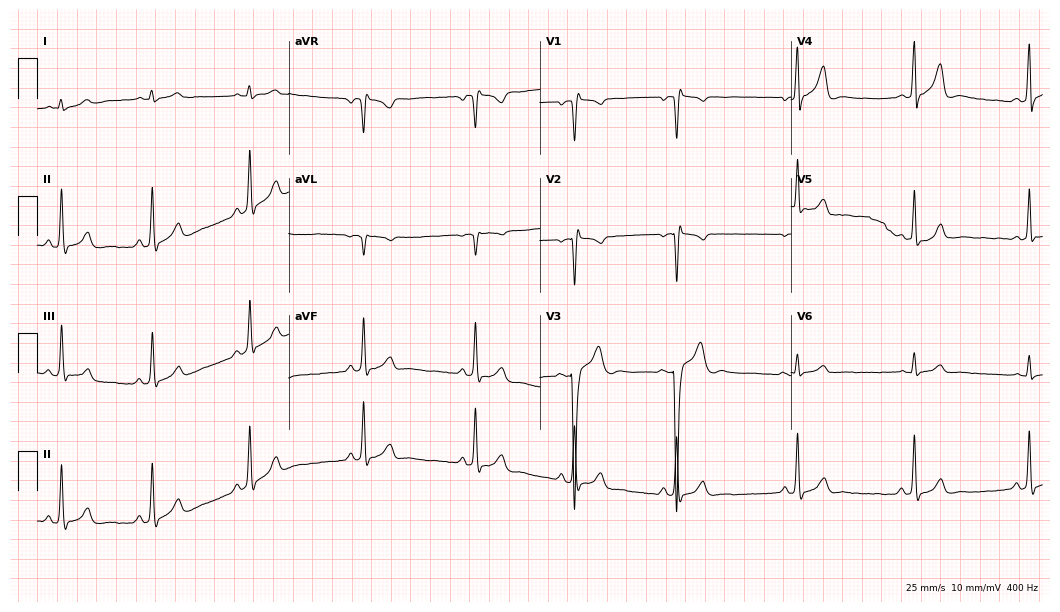
12-lead ECG from a man, 21 years old. No first-degree AV block, right bundle branch block (RBBB), left bundle branch block (LBBB), sinus bradycardia, atrial fibrillation (AF) or sinus tachycardia recorded for this tracing. Findings outside these six are not listed.